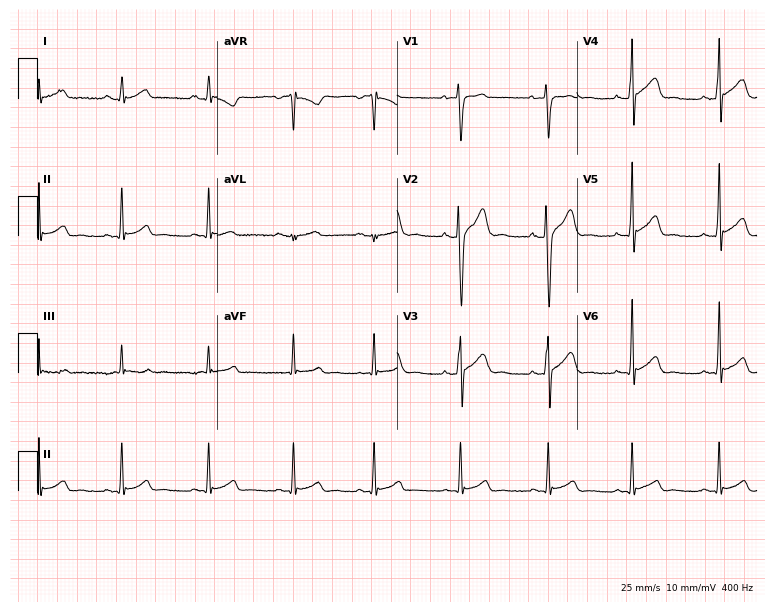
12-lead ECG from a man, 20 years old. No first-degree AV block, right bundle branch block (RBBB), left bundle branch block (LBBB), sinus bradycardia, atrial fibrillation (AF) or sinus tachycardia recorded for this tracing. Only these six findings were labelled.